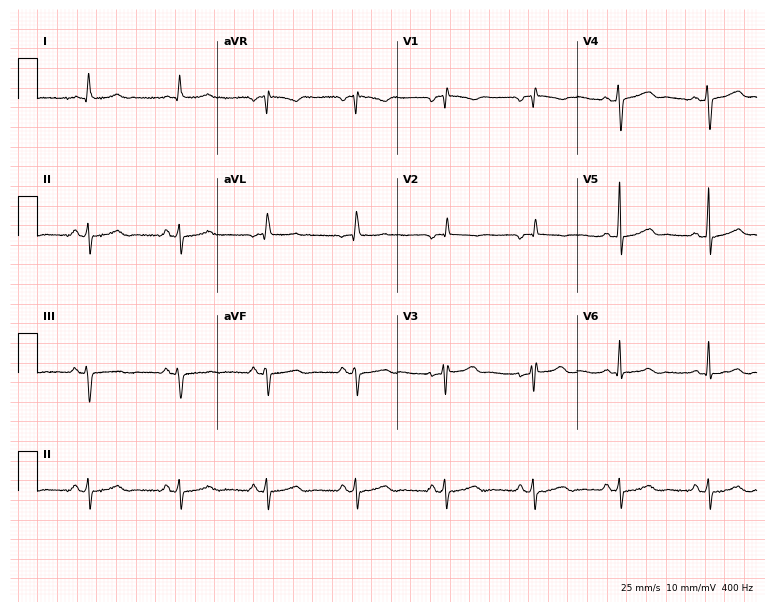
Resting 12-lead electrocardiogram (7.3-second recording at 400 Hz). Patient: a woman, 42 years old. None of these six findings is recorded: first-degree AV block, right bundle branch block (RBBB), left bundle branch block (LBBB), sinus bradycardia, atrial fibrillation (AF), sinus tachycardia. Only these six findings were labelled.